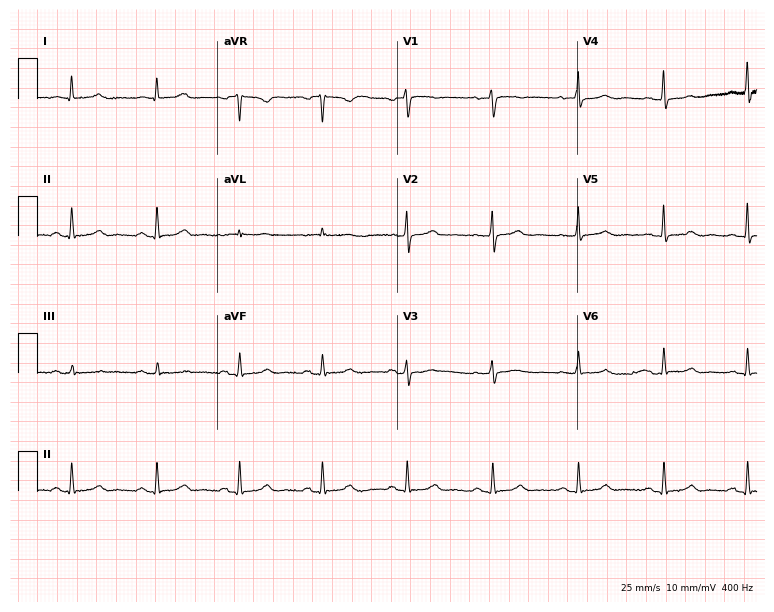
Electrocardiogram, a female, 59 years old. Of the six screened findings (first-degree AV block, right bundle branch block (RBBB), left bundle branch block (LBBB), sinus bradycardia, atrial fibrillation (AF), sinus tachycardia), none is recorded. Findings outside these six are not listed.